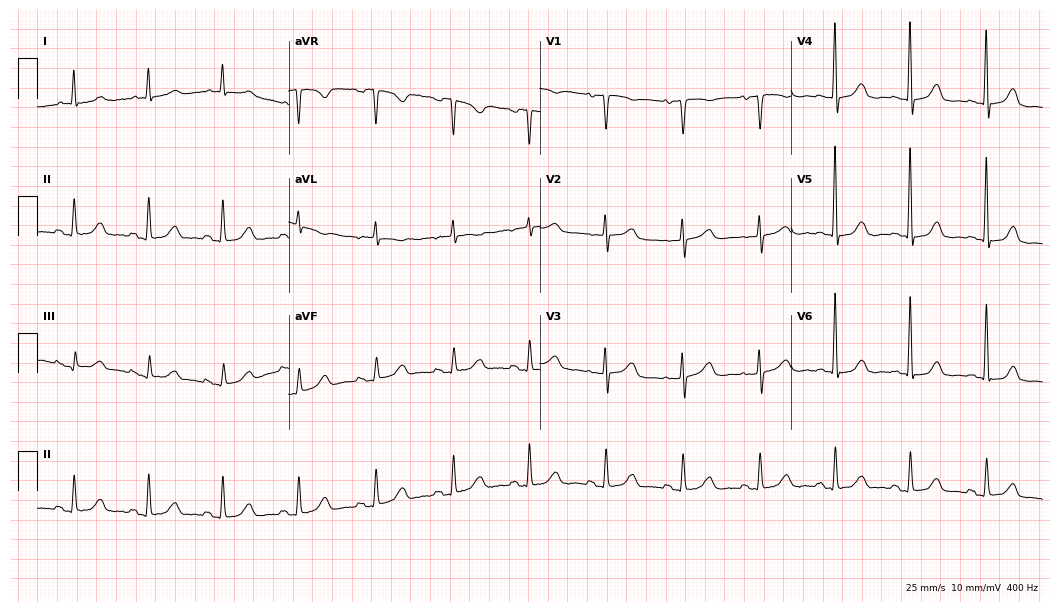
Resting 12-lead electrocardiogram (10.2-second recording at 400 Hz). Patient: an 82-year-old female. Read as a normal ECG.